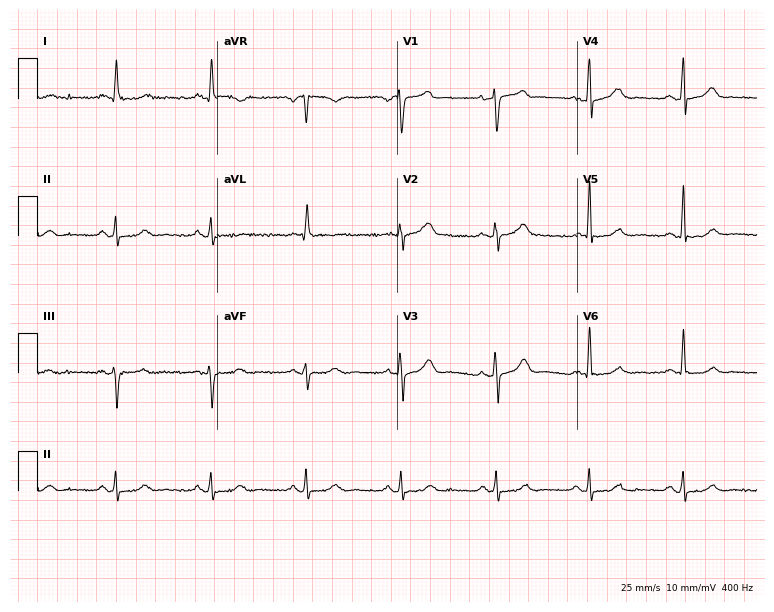
Resting 12-lead electrocardiogram (7.3-second recording at 400 Hz). Patient: a male, 77 years old. Read as a normal ECG.